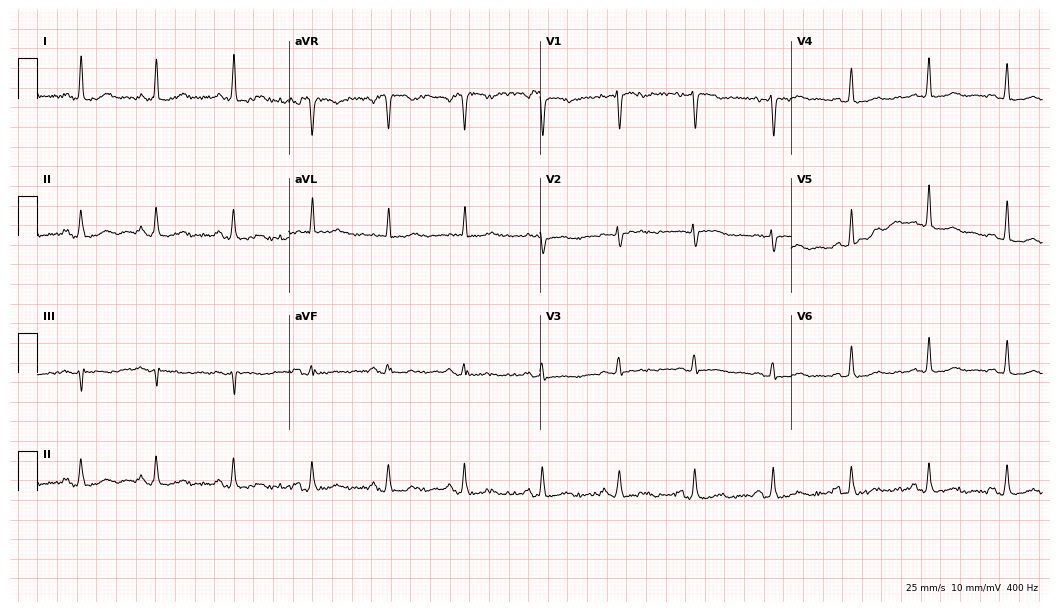
ECG (10.2-second recording at 400 Hz) — a 55-year-old woman. Screened for six findings — first-degree AV block, right bundle branch block, left bundle branch block, sinus bradycardia, atrial fibrillation, sinus tachycardia — none is recorded. Other findings, if any, are not listed.